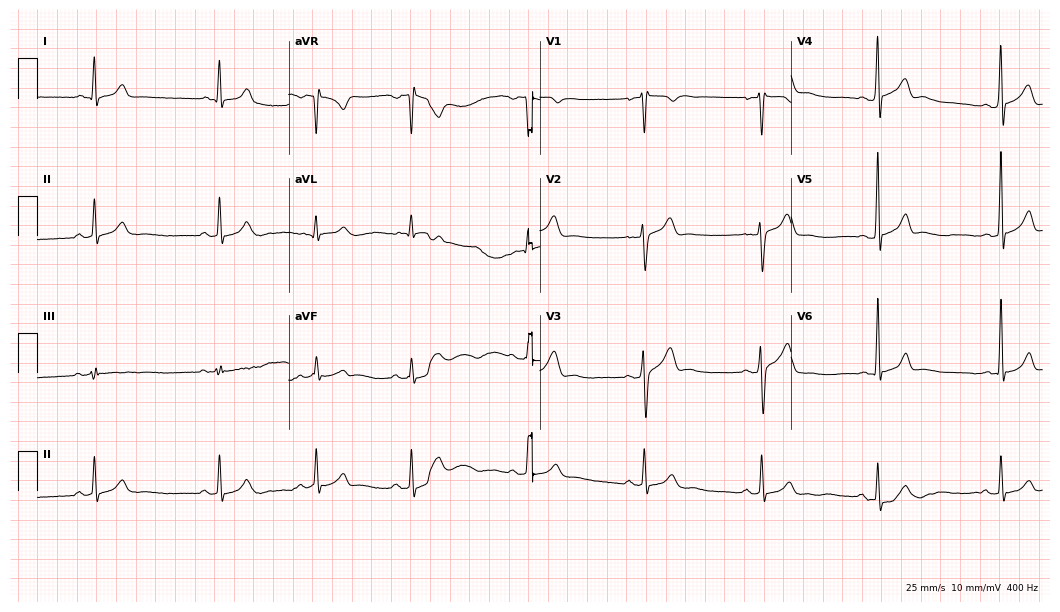
Standard 12-lead ECG recorded from a 28-year-old male. Read as a normal ECG.